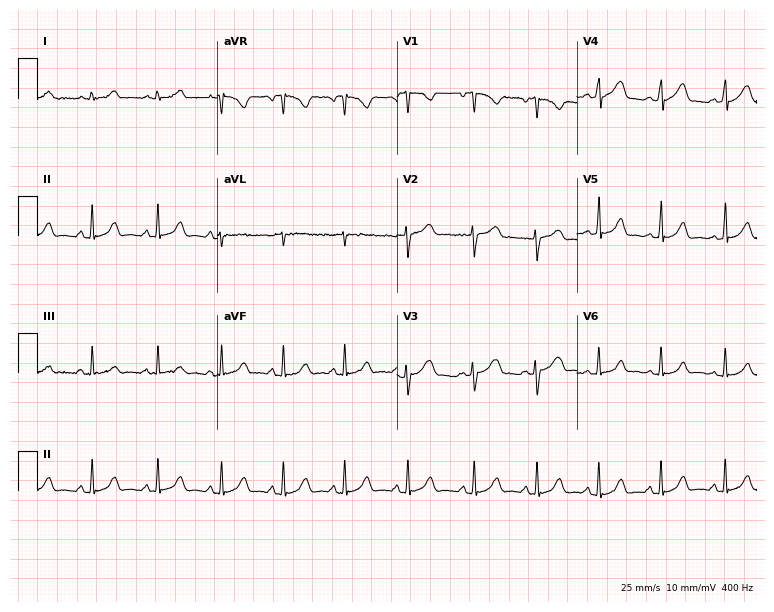
12-lead ECG from a woman, 29 years old. Recorded interpretation: within normal limits.